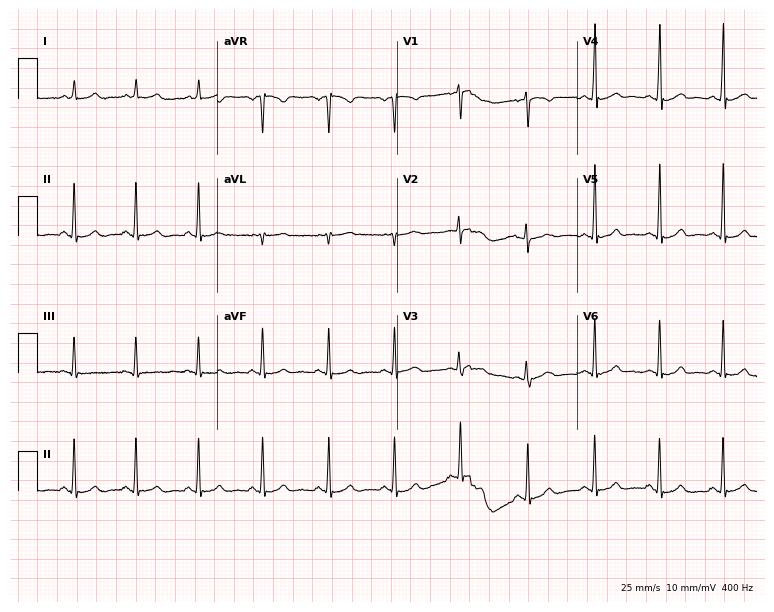
Standard 12-lead ECG recorded from a 20-year-old female (7.3-second recording at 400 Hz). Read as a normal ECG.